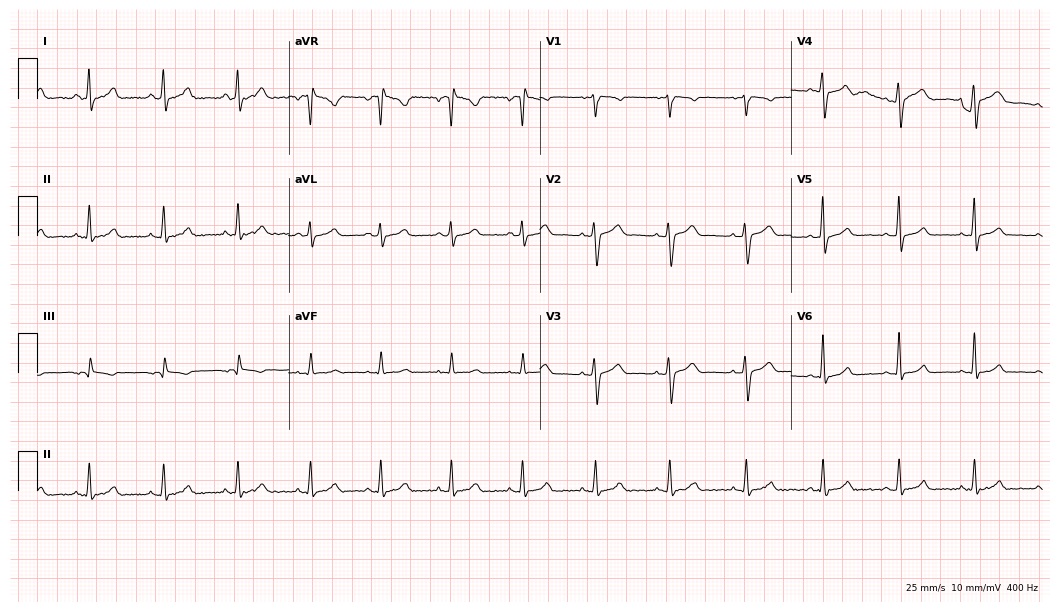
12-lead ECG from a 40-year-old female patient. Screened for six findings — first-degree AV block, right bundle branch block, left bundle branch block, sinus bradycardia, atrial fibrillation, sinus tachycardia — none is recorded.